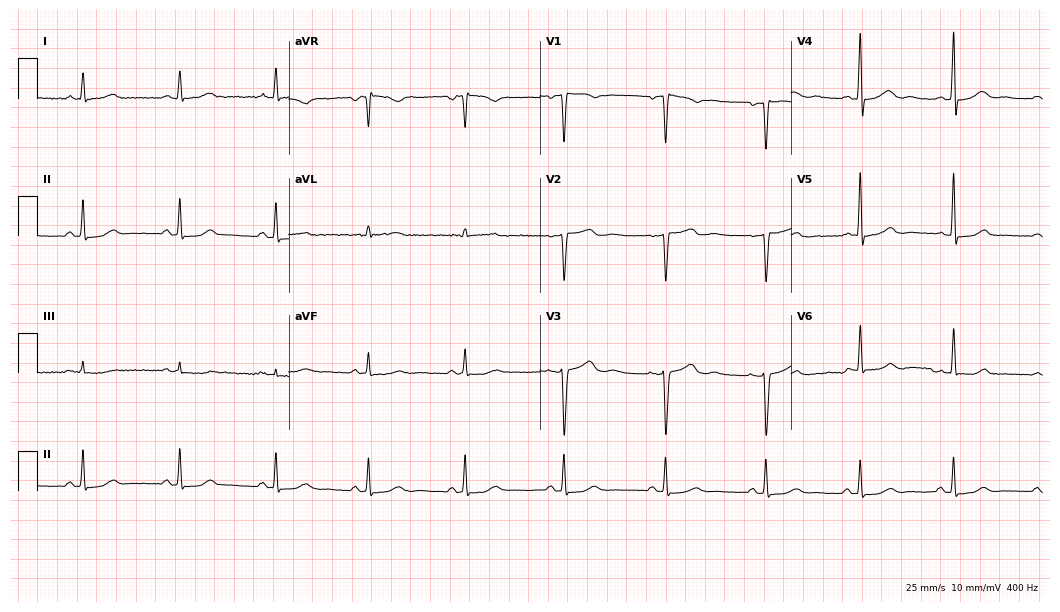
ECG (10.2-second recording at 400 Hz) — a 42-year-old female. Screened for six findings — first-degree AV block, right bundle branch block, left bundle branch block, sinus bradycardia, atrial fibrillation, sinus tachycardia — none is recorded.